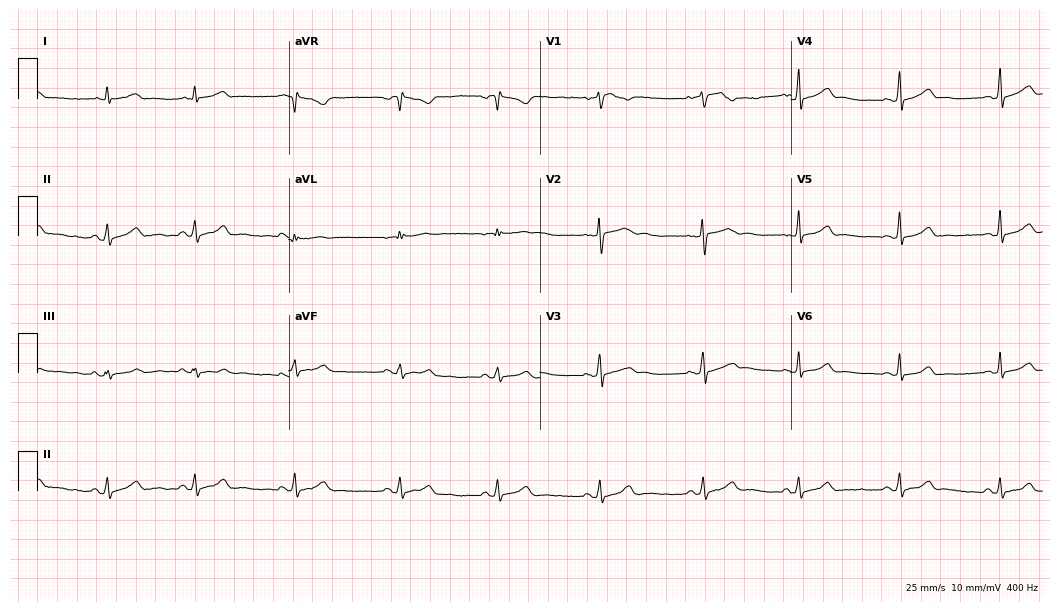
Electrocardiogram (10.2-second recording at 400 Hz), a 32-year-old female. Overall reading on record: normal ECG.